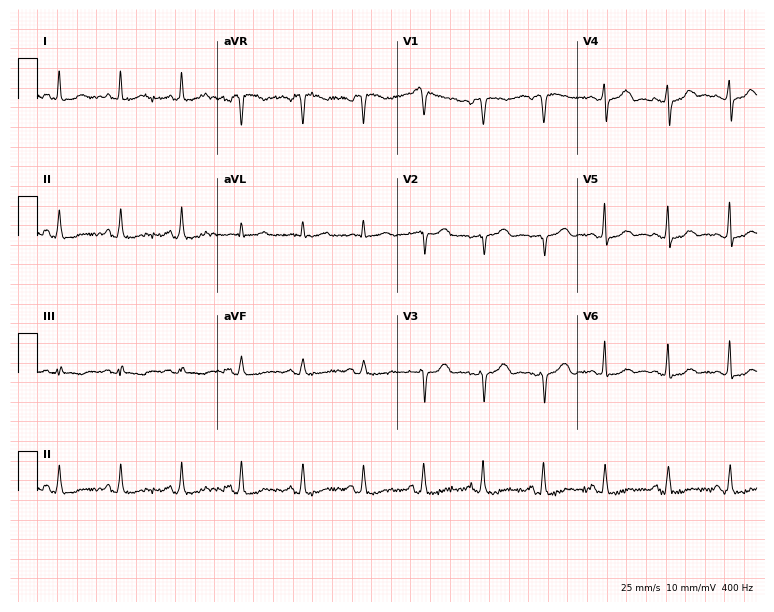
Resting 12-lead electrocardiogram. Patient: a 57-year-old woman. None of these six findings is recorded: first-degree AV block, right bundle branch block, left bundle branch block, sinus bradycardia, atrial fibrillation, sinus tachycardia.